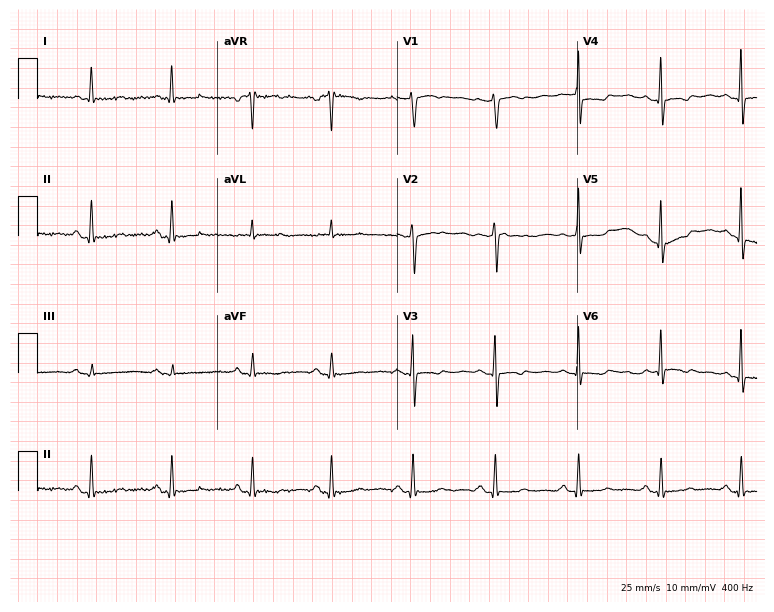
ECG — a 51-year-old female patient. Screened for six findings — first-degree AV block, right bundle branch block, left bundle branch block, sinus bradycardia, atrial fibrillation, sinus tachycardia — none is recorded.